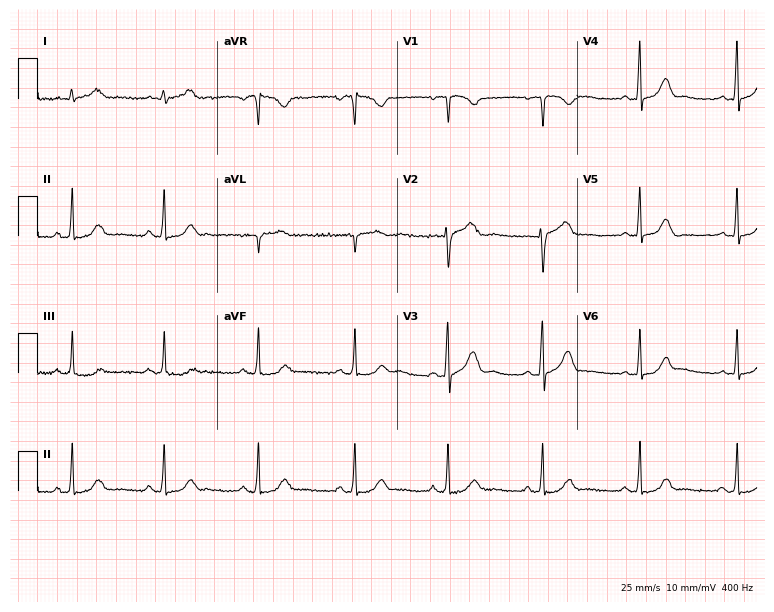
Standard 12-lead ECG recorded from a 35-year-old woman (7.3-second recording at 400 Hz). Read as a normal ECG.